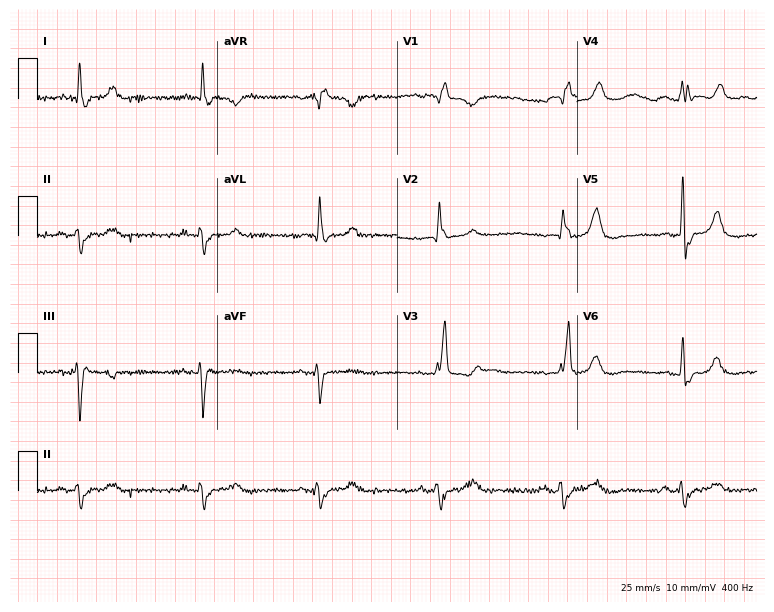
ECG — a male patient, 85 years old. Findings include right bundle branch block (RBBB), sinus bradycardia (a sinus rate of 50 beats per minute or less).